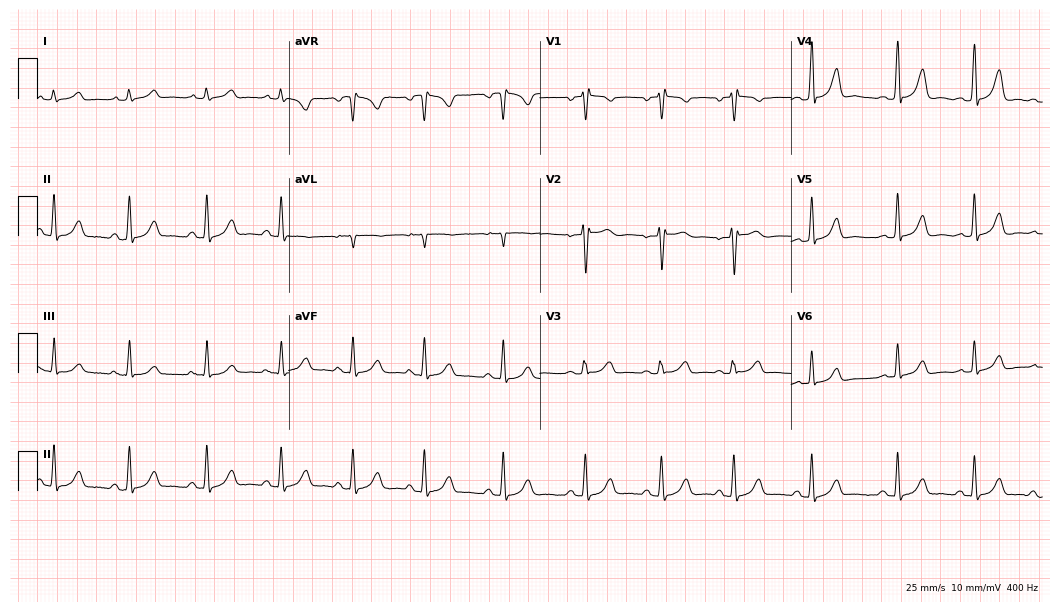
12-lead ECG (10.2-second recording at 400 Hz) from a 33-year-old female. Labelled as a normal ECG.